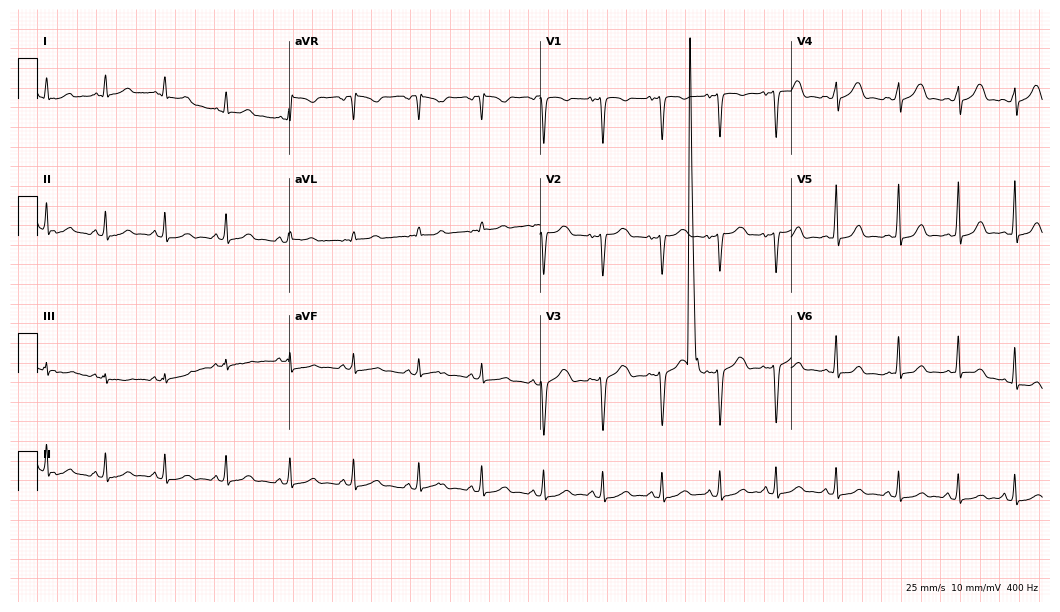
Standard 12-lead ECG recorded from a 33-year-old woman. None of these six findings is recorded: first-degree AV block, right bundle branch block, left bundle branch block, sinus bradycardia, atrial fibrillation, sinus tachycardia. Other findings, if any, are not listed.